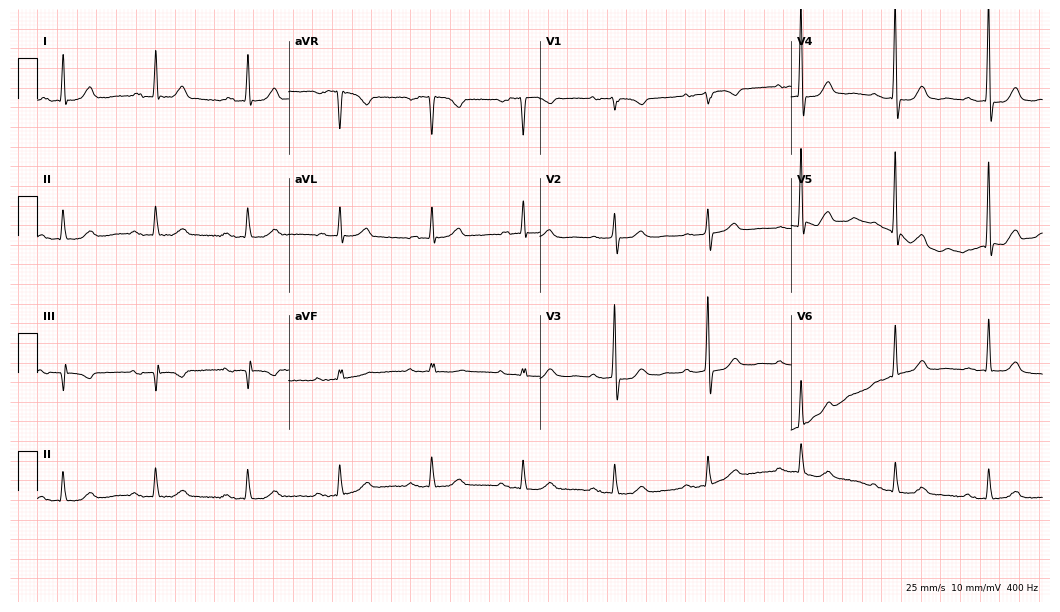
12-lead ECG (10.2-second recording at 400 Hz) from a 75-year-old female. Findings include first-degree AV block.